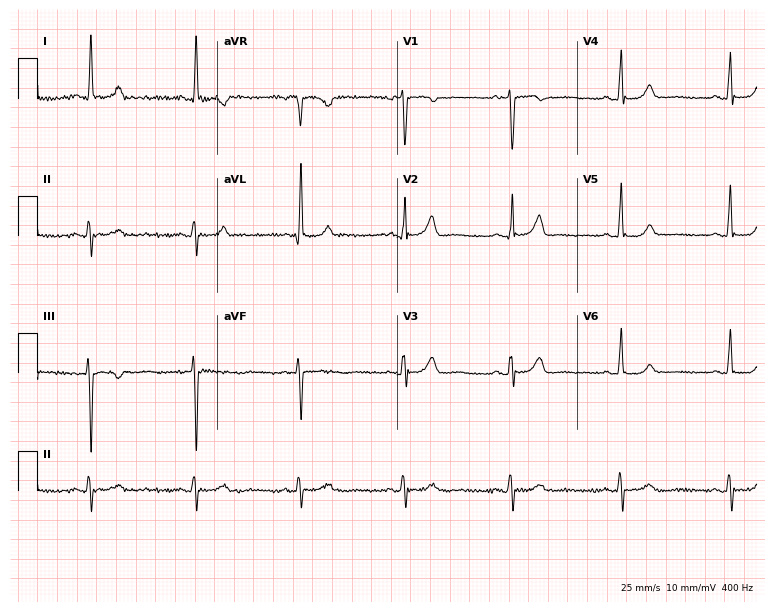
12-lead ECG from a female, 69 years old. No first-degree AV block, right bundle branch block (RBBB), left bundle branch block (LBBB), sinus bradycardia, atrial fibrillation (AF) or sinus tachycardia recorded for this tracing.